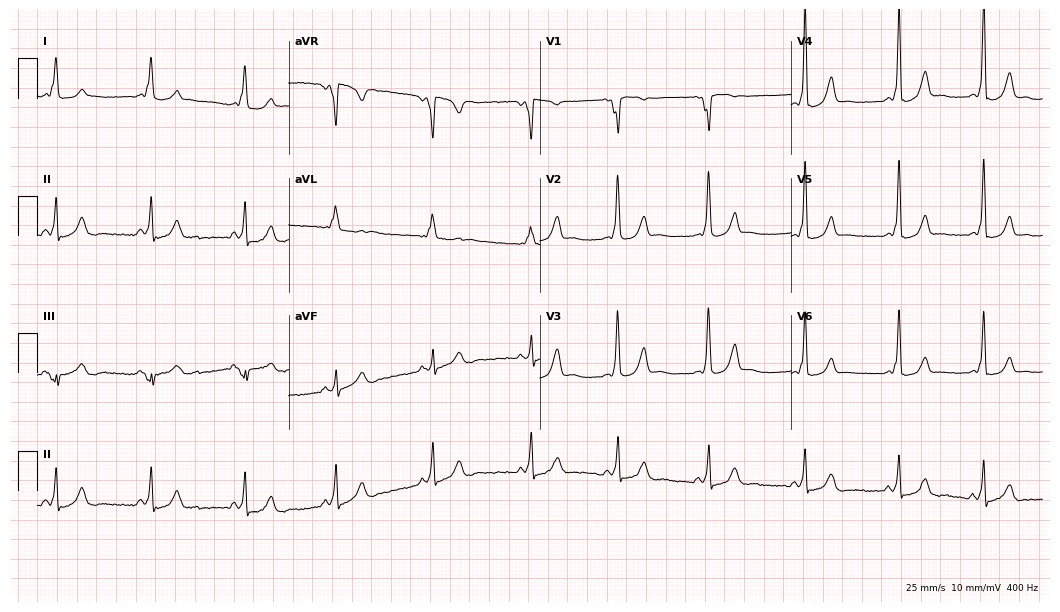
12-lead ECG from a woman, 38 years old. Screened for six findings — first-degree AV block, right bundle branch block (RBBB), left bundle branch block (LBBB), sinus bradycardia, atrial fibrillation (AF), sinus tachycardia — none is recorded.